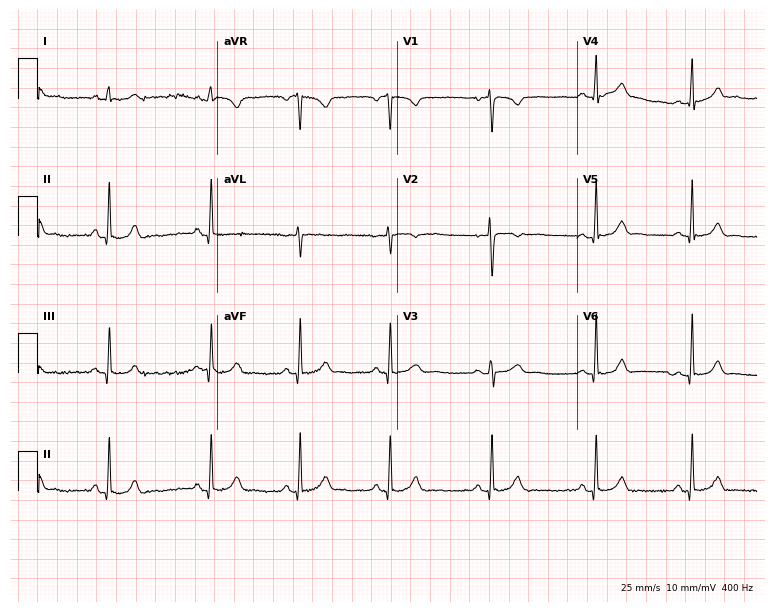
ECG — a woman, 25 years old. Labelled as a normal ECG.